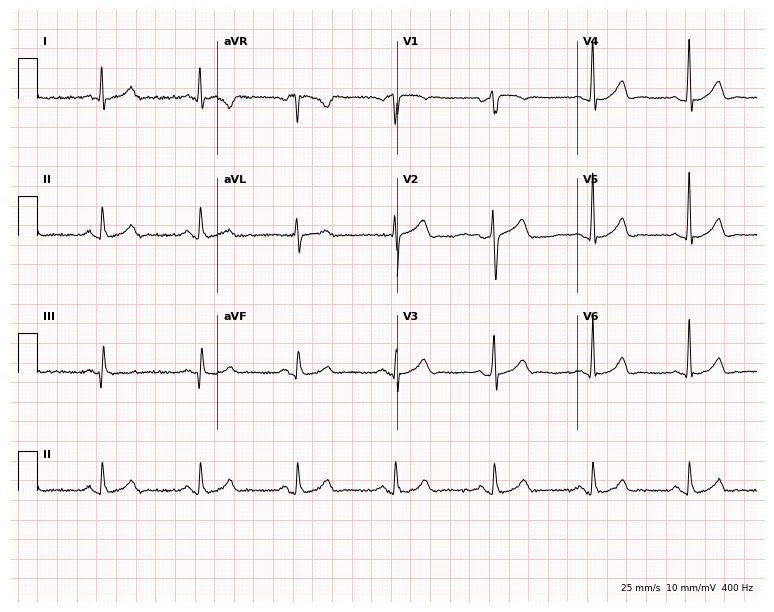
12-lead ECG from a 46-year-old man (7.3-second recording at 400 Hz). Recorded interpretation: within normal limits.